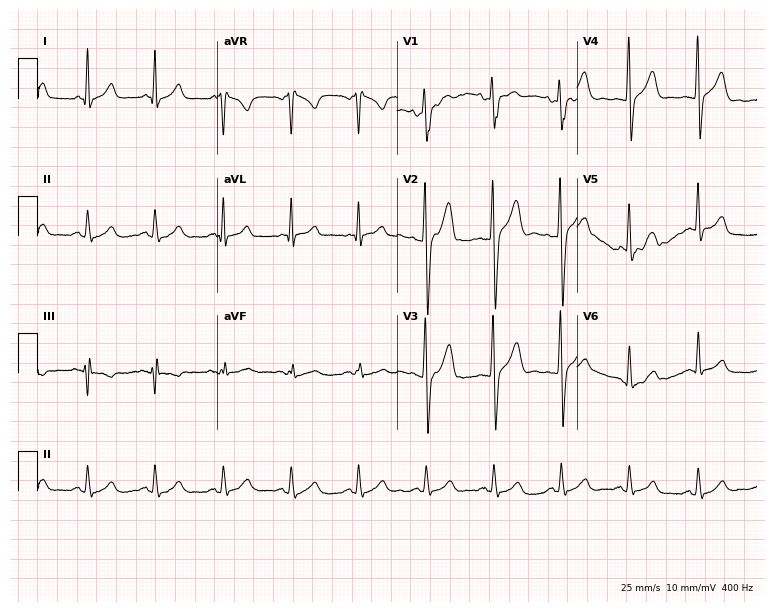
Electrocardiogram, a 28-year-old male patient. Overall reading on record: normal ECG.